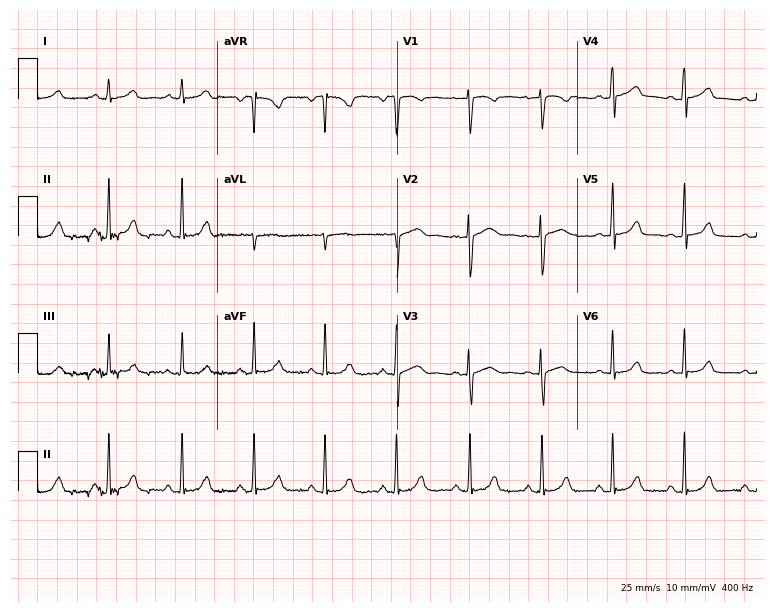
Resting 12-lead electrocardiogram. Patient: a 38-year-old man. Read as a normal ECG.